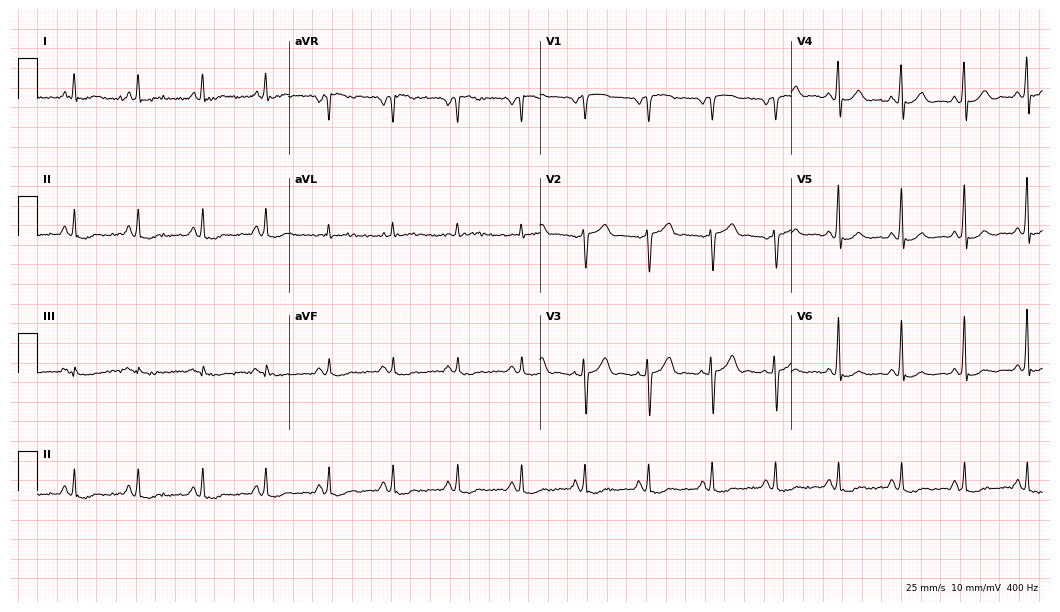
ECG — a male, 69 years old. Screened for six findings — first-degree AV block, right bundle branch block, left bundle branch block, sinus bradycardia, atrial fibrillation, sinus tachycardia — none is recorded. Other findings, if any, are not listed.